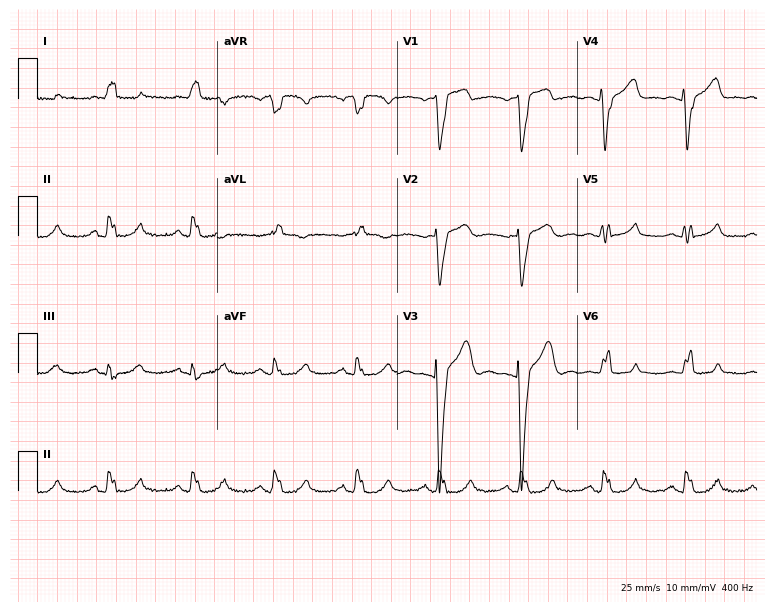
12-lead ECG from a 73-year-old woman (7.3-second recording at 400 Hz). Shows left bundle branch block.